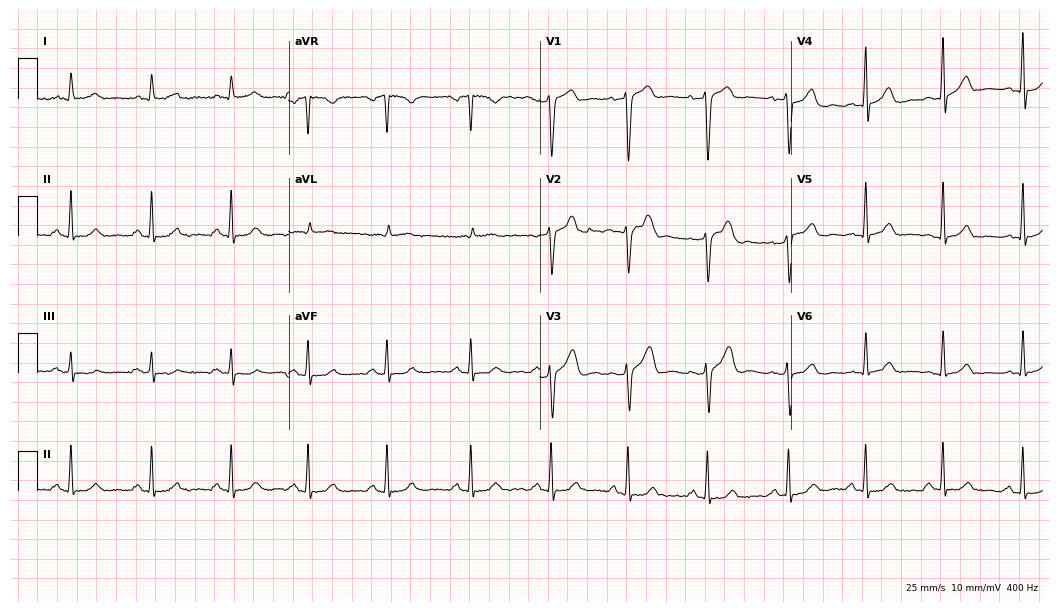
12-lead ECG from a male, 63 years old. Recorded interpretation: within normal limits.